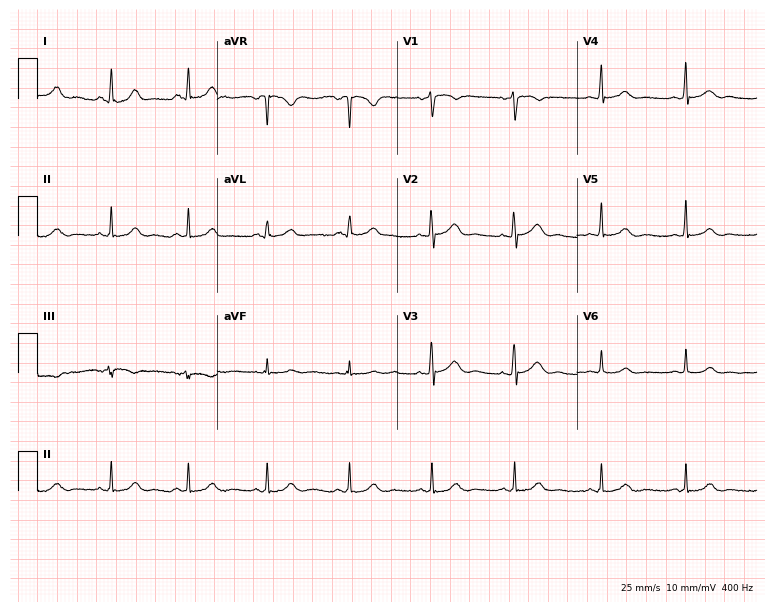
Electrocardiogram, a 42-year-old woman. Of the six screened findings (first-degree AV block, right bundle branch block (RBBB), left bundle branch block (LBBB), sinus bradycardia, atrial fibrillation (AF), sinus tachycardia), none is recorded.